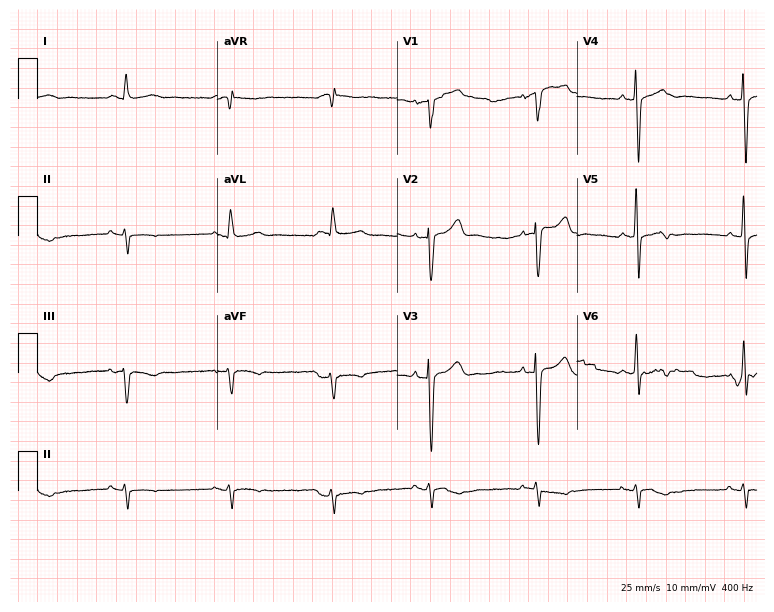
12-lead ECG from an 80-year-old male. Screened for six findings — first-degree AV block, right bundle branch block, left bundle branch block, sinus bradycardia, atrial fibrillation, sinus tachycardia — none is recorded. Findings outside these six are not listed.